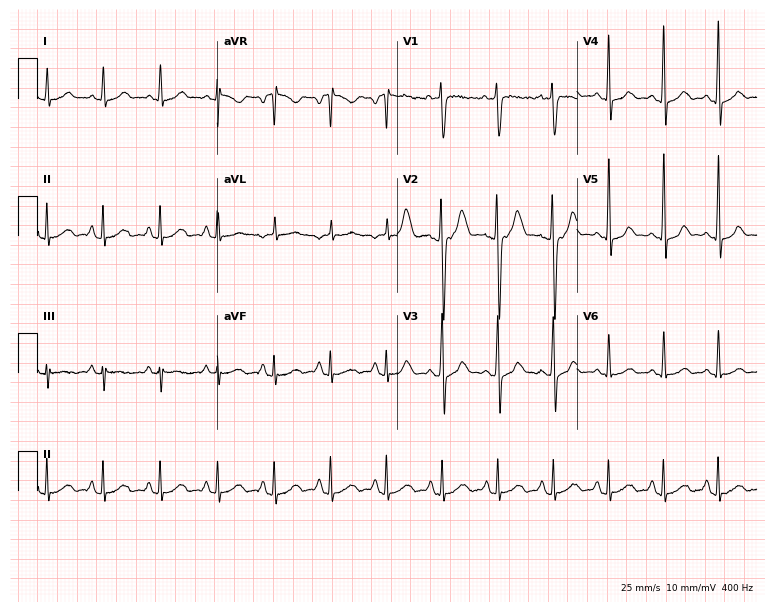
12-lead ECG (7.3-second recording at 400 Hz) from a 29-year-old male. Findings include sinus tachycardia (a sinus rate of 100 beats per minute or more).